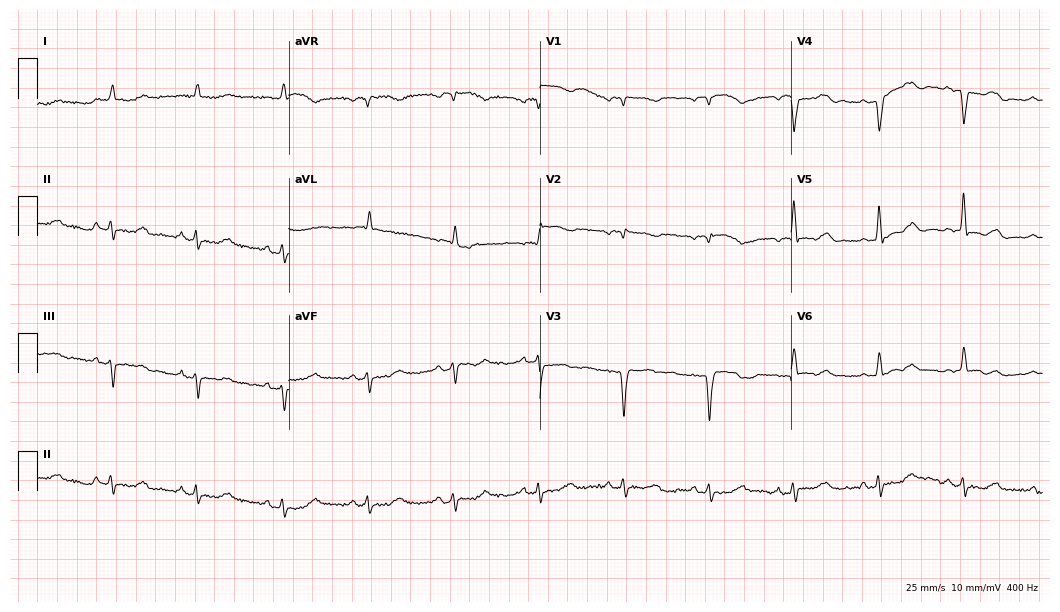
Standard 12-lead ECG recorded from a 58-year-old female (10.2-second recording at 400 Hz). Read as a normal ECG.